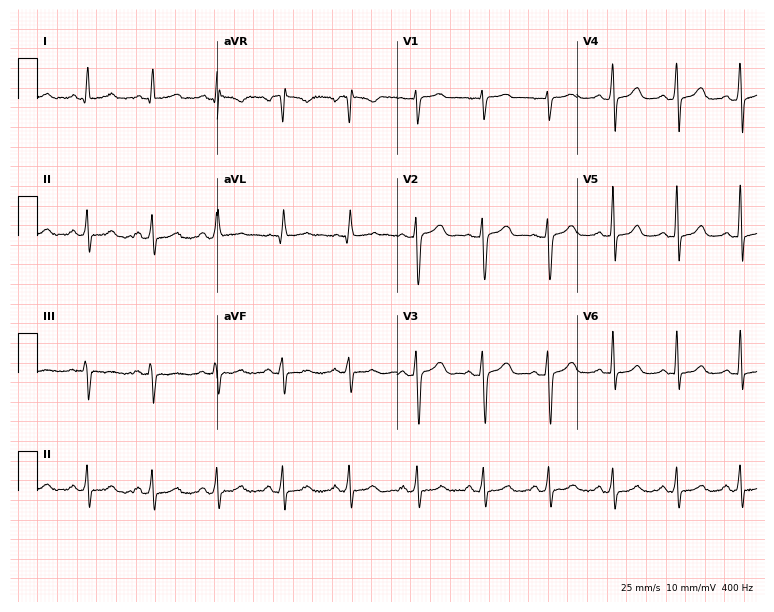
Electrocardiogram, a female patient, 35 years old. Of the six screened findings (first-degree AV block, right bundle branch block, left bundle branch block, sinus bradycardia, atrial fibrillation, sinus tachycardia), none is recorded. Findings outside these six are not listed.